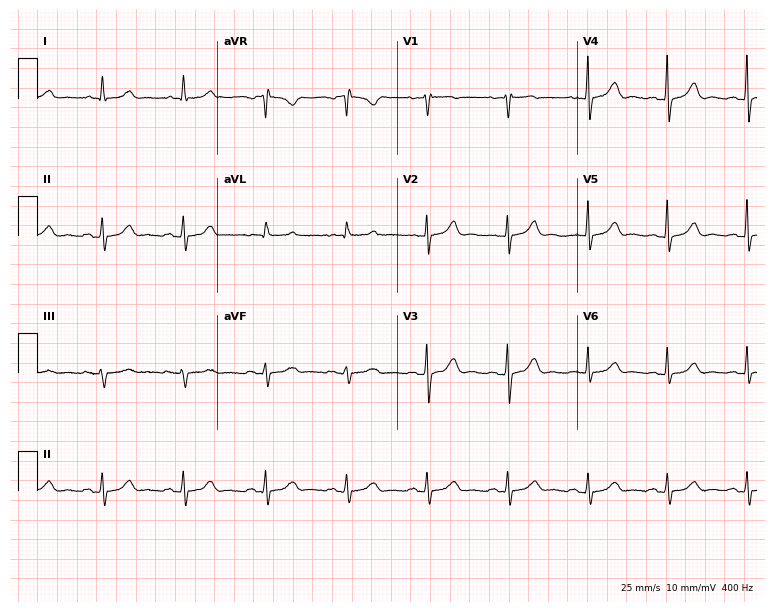
12-lead ECG from a 74-year-old woman (7.3-second recording at 400 Hz). Recorded interpretation: within normal limits.